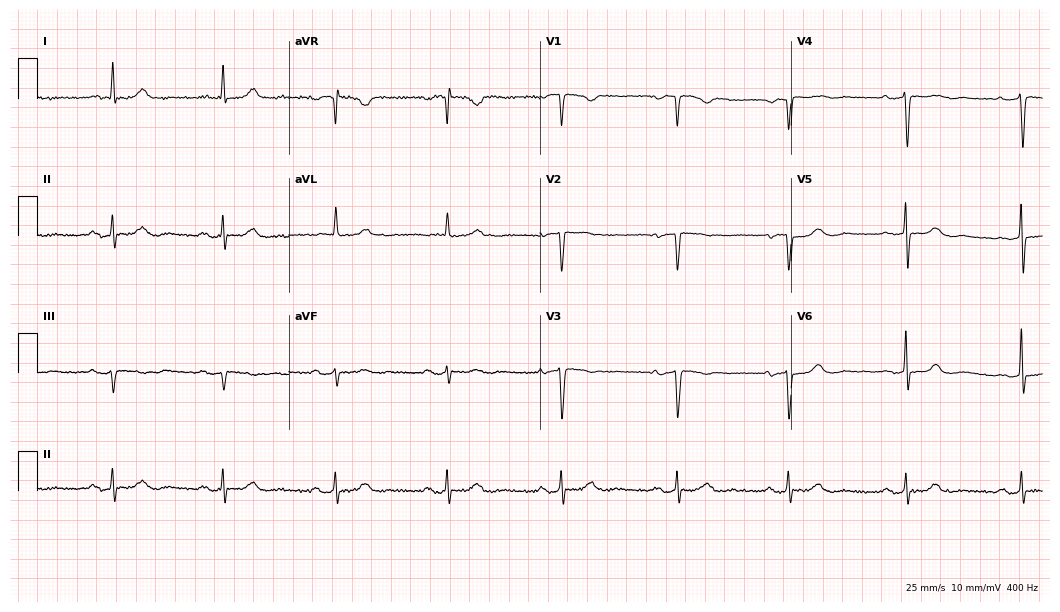
12-lead ECG from a 77-year-old woman. No first-degree AV block, right bundle branch block, left bundle branch block, sinus bradycardia, atrial fibrillation or sinus tachycardia recorded for this tracing. Only these six findings were labelled.